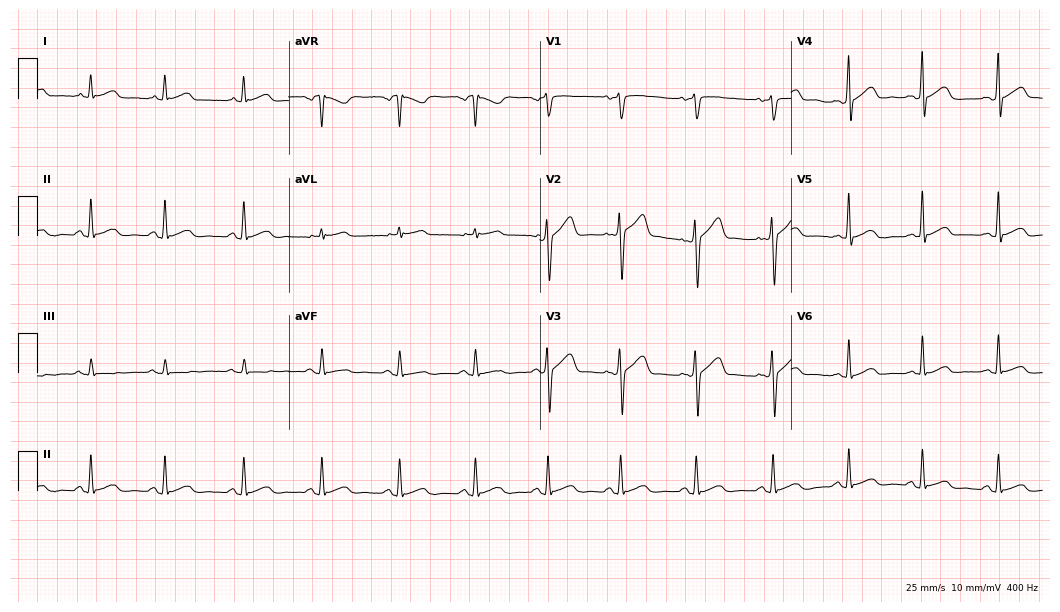
Standard 12-lead ECG recorded from a male, 27 years old. Read as a normal ECG.